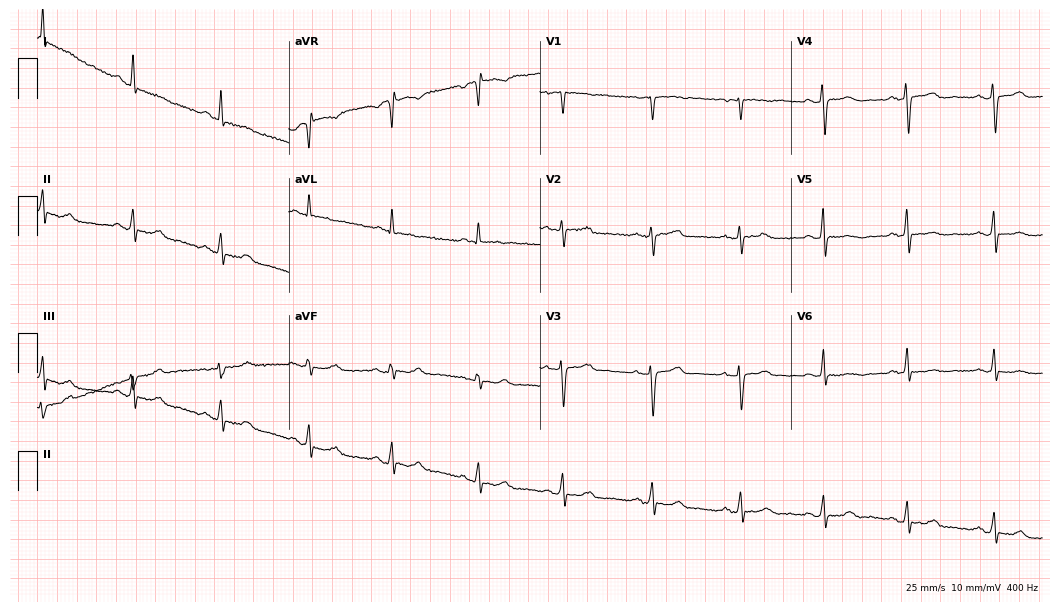
Electrocardiogram (10.2-second recording at 400 Hz), a 32-year-old woman. Of the six screened findings (first-degree AV block, right bundle branch block, left bundle branch block, sinus bradycardia, atrial fibrillation, sinus tachycardia), none is recorded.